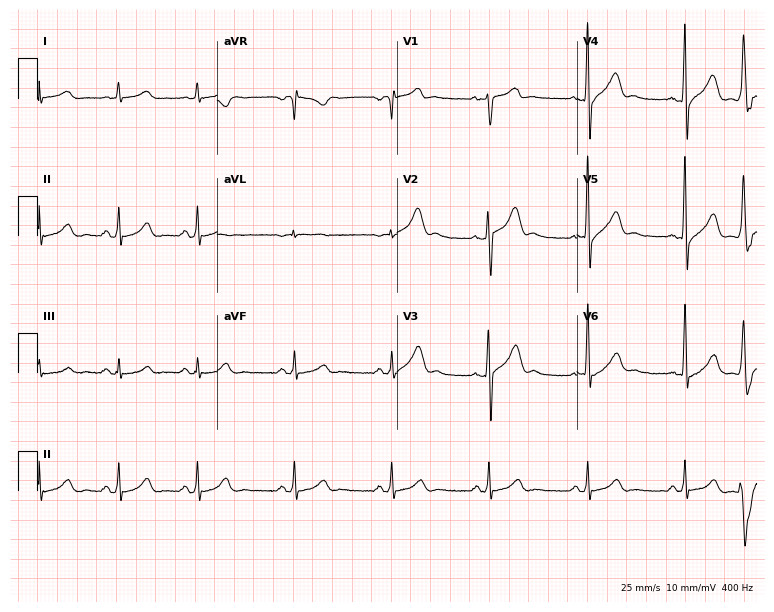
Electrocardiogram (7.3-second recording at 400 Hz), a man, 42 years old. Of the six screened findings (first-degree AV block, right bundle branch block, left bundle branch block, sinus bradycardia, atrial fibrillation, sinus tachycardia), none is recorded. Only these six findings were labelled.